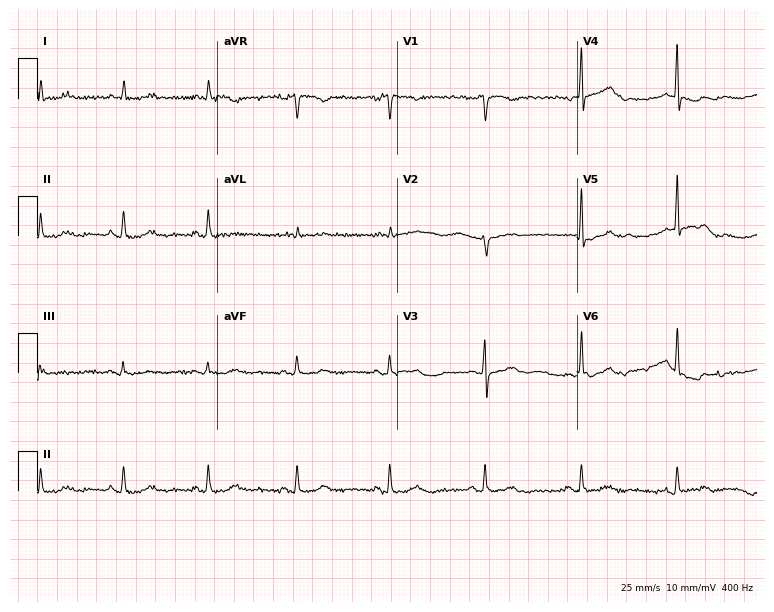
12-lead ECG from a 67-year-old male (7.3-second recording at 400 Hz). No first-degree AV block, right bundle branch block, left bundle branch block, sinus bradycardia, atrial fibrillation or sinus tachycardia recorded for this tracing. Other findings, if any, are not listed.